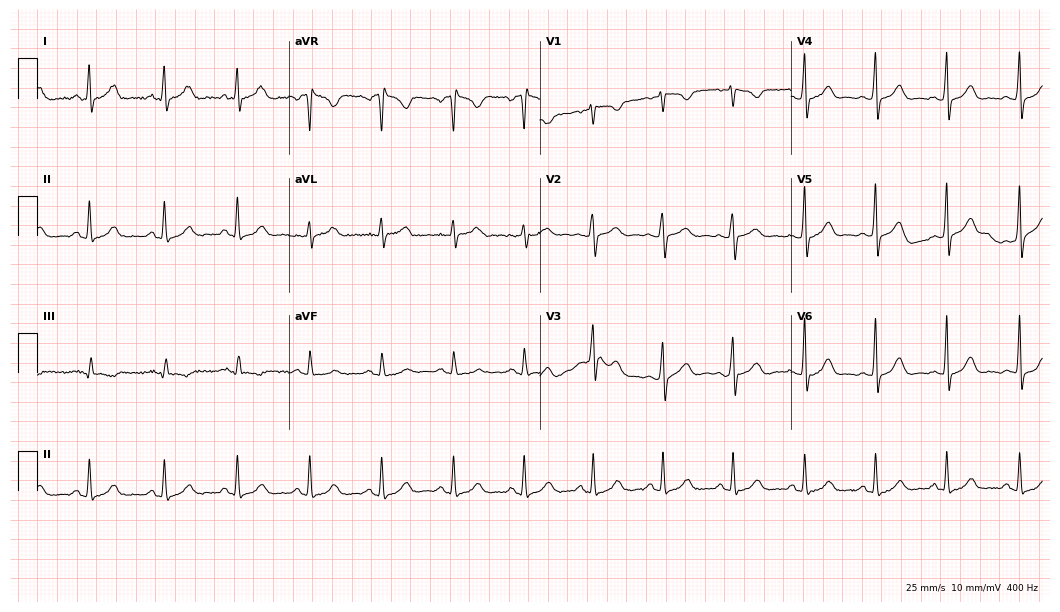
Electrocardiogram (10.2-second recording at 400 Hz), a 49-year-old woman. Overall reading on record: normal ECG.